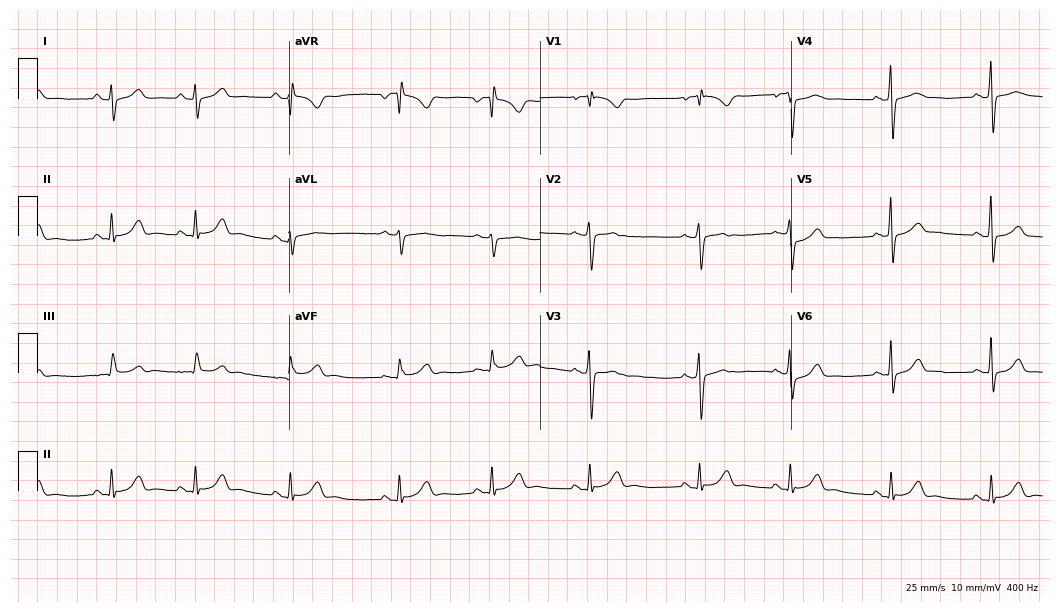
12-lead ECG (10.2-second recording at 400 Hz) from a woman, 18 years old. Screened for six findings — first-degree AV block, right bundle branch block, left bundle branch block, sinus bradycardia, atrial fibrillation, sinus tachycardia — none is recorded.